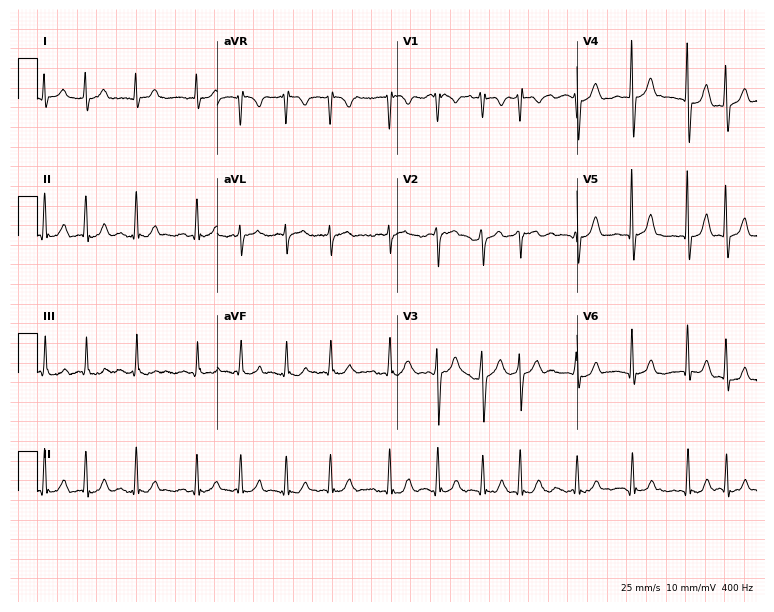
12-lead ECG from a 72-year-old female. No first-degree AV block, right bundle branch block (RBBB), left bundle branch block (LBBB), sinus bradycardia, atrial fibrillation (AF) or sinus tachycardia recorded for this tracing.